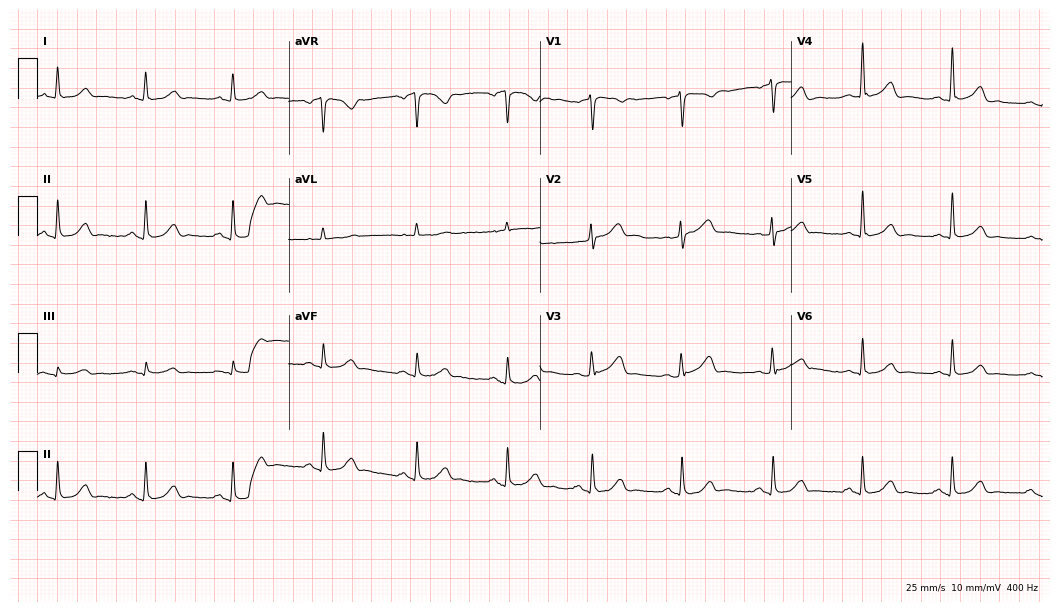
ECG — a man, 46 years old. Screened for six findings — first-degree AV block, right bundle branch block, left bundle branch block, sinus bradycardia, atrial fibrillation, sinus tachycardia — none is recorded. Only these six findings were labelled.